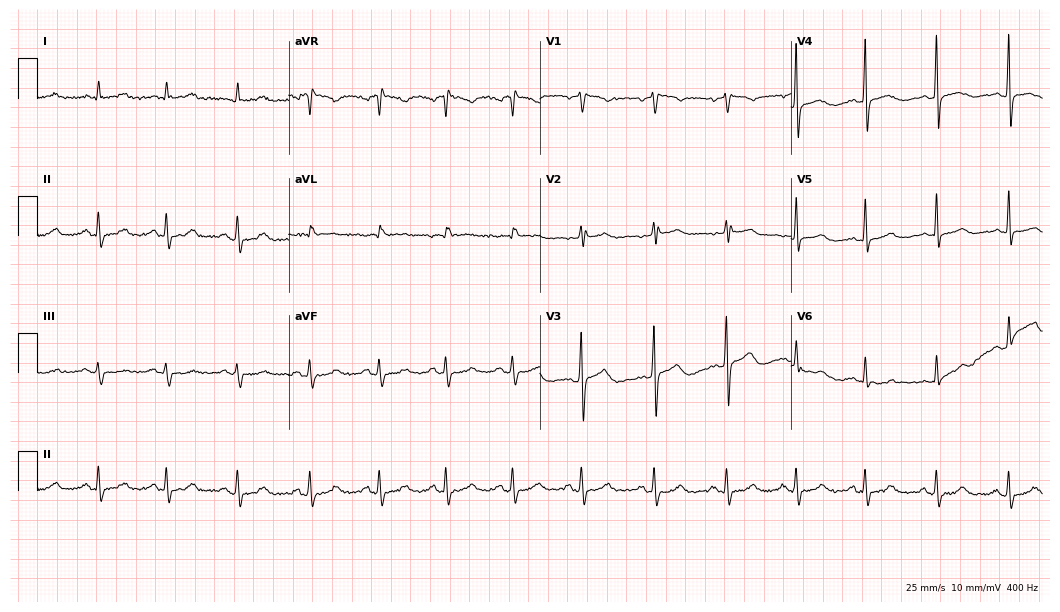
ECG — a 56-year-old female. Labelled as a normal ECG.